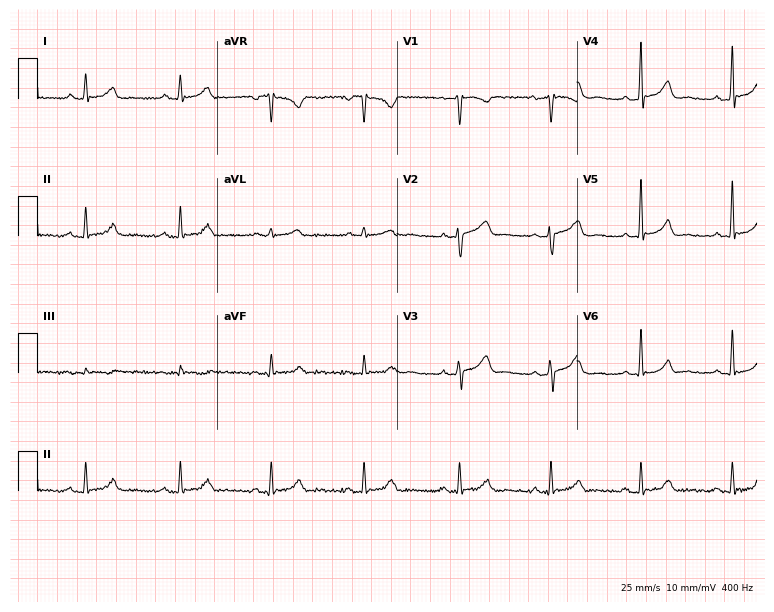
12-lead ECG from a woman, 48 years old. No first-degree AV block, right bundle branch block (RBBB), left bundle branch block (LBBB), sinus bradycardia, atrial fibrillation (AF) or sinus tachycardia recorded for this tracing.